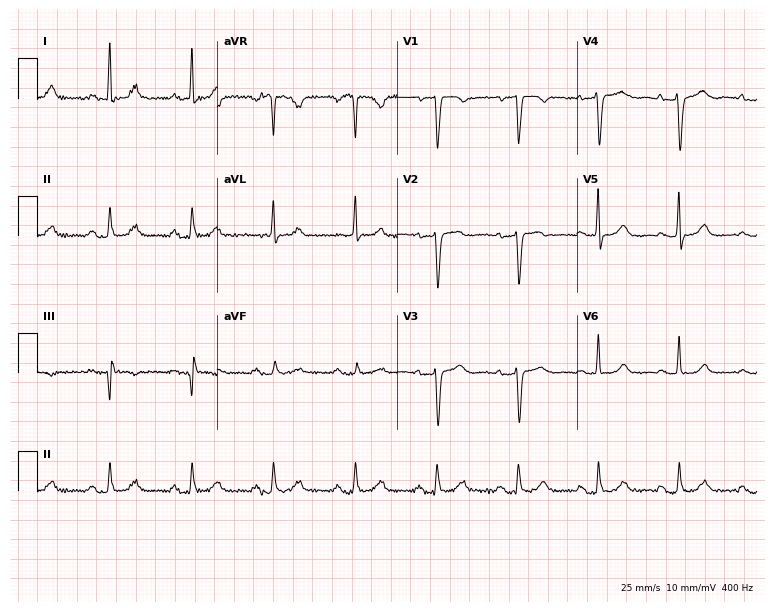
Electrocardiogram, a female patient, 61 years old. Of the six screened findings (first-degree AV block, right bundle branch block, left bundle branch block, sinus bradycardia, atrial fibrillation, sinus tachycardia), none is recorded.